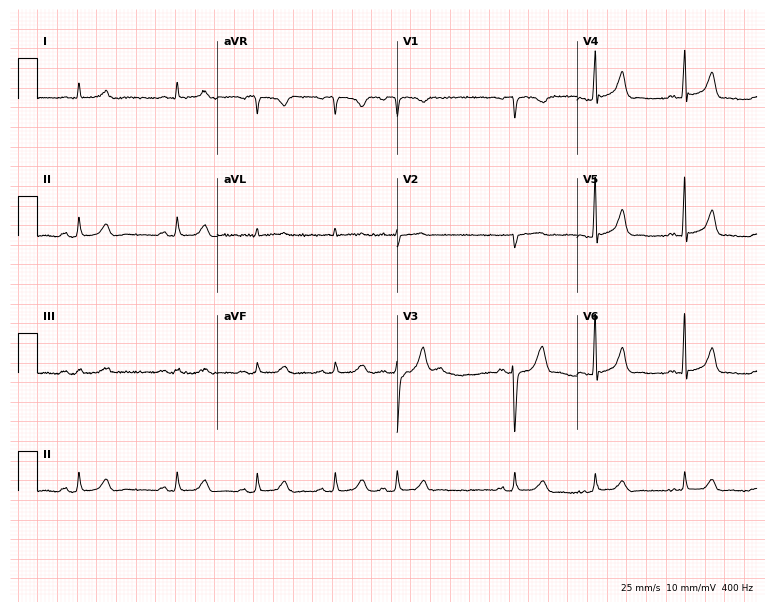
Resting 12-lead electrocardiogram. Patient: a male, 74 years old. Read as a normal ECG.